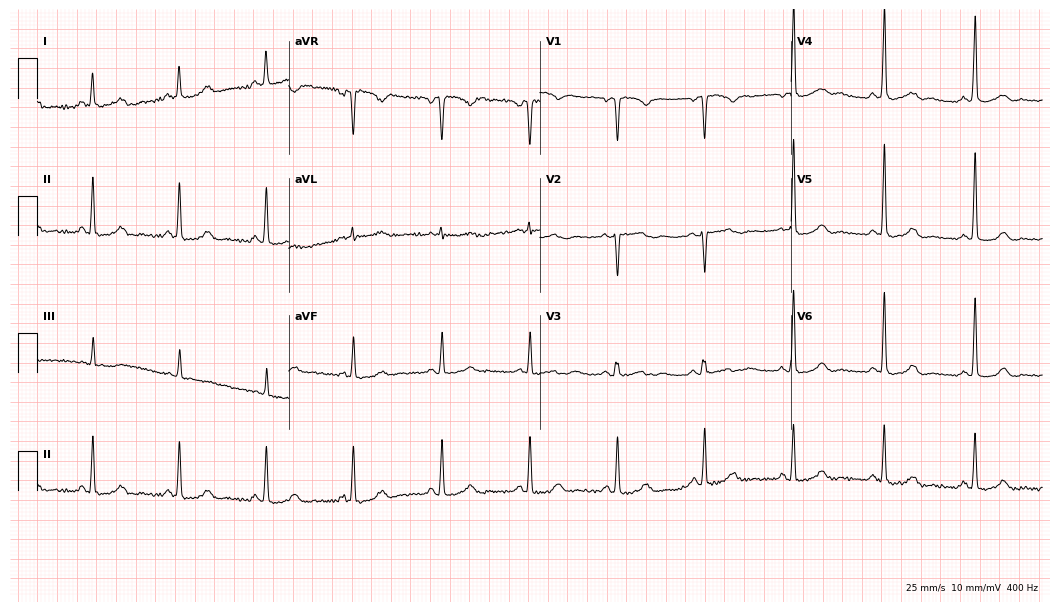
Electrocardiogram, a woman, 46 years old. Overall reading on record: normal ECG.